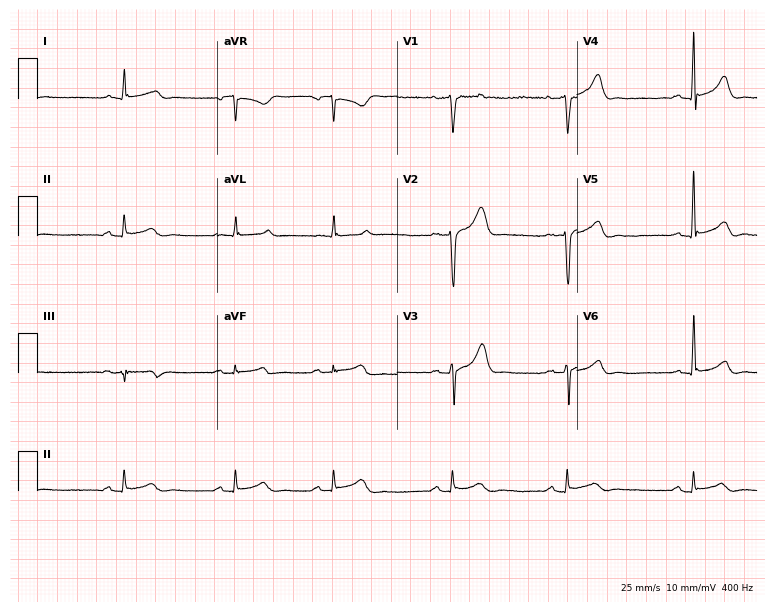
Resting 12-lead electrocardiogram. Patient: a 65-year-old male. None of these six findings is recorded: first-degree AV block, right bundle branch block (RBBB), left bundle branch block (LBBB), sinus bradycardia, atrial fibrillation (AF), sinus tachycardia. Only these six findings were labelled.